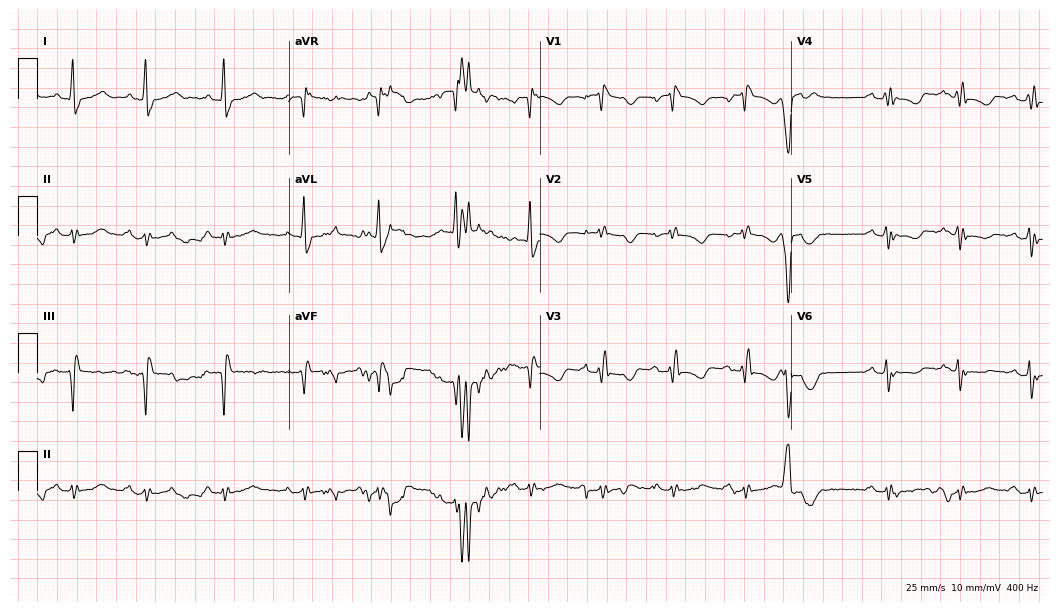
12-lead ECG from a female patient, 79 years old. Findings include right bundle branch block.